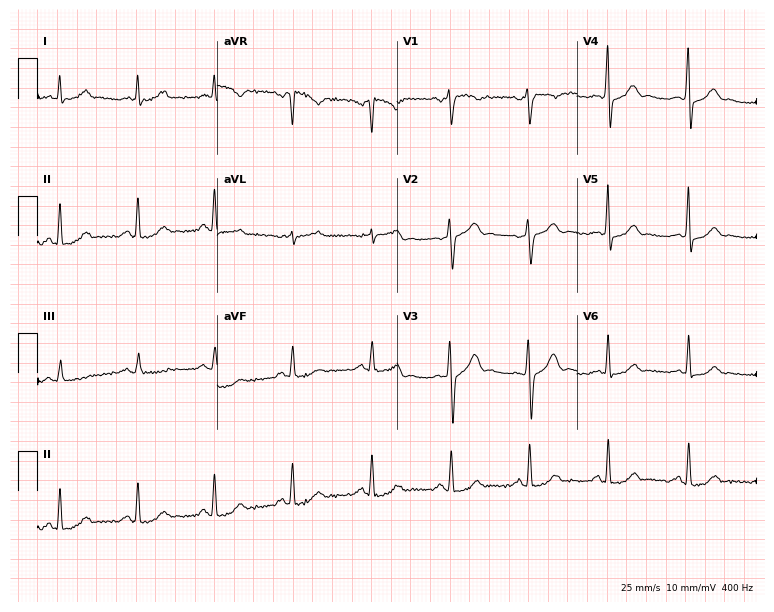
Resting 12-lead electrocardiogram (7.3-second recording at 400 Hz). Patient: a male, 56 years old. None of these six findings is recorded: first-degree AV block, right bundle branch block, left bundle branch block, sinus bradycardia, atrial fibrillation, sinus tachycardia.